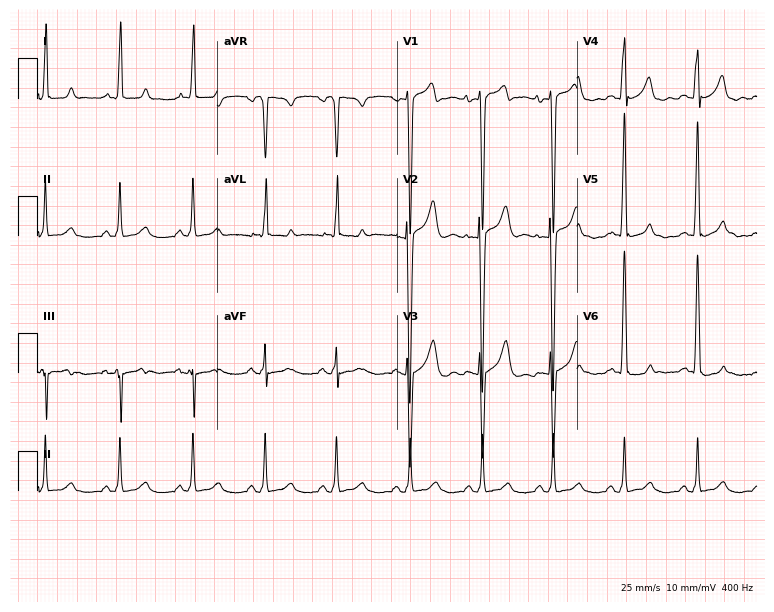
Electrocardiogram, a male patient, 26 years old. Overall reading on record: normal ECG.